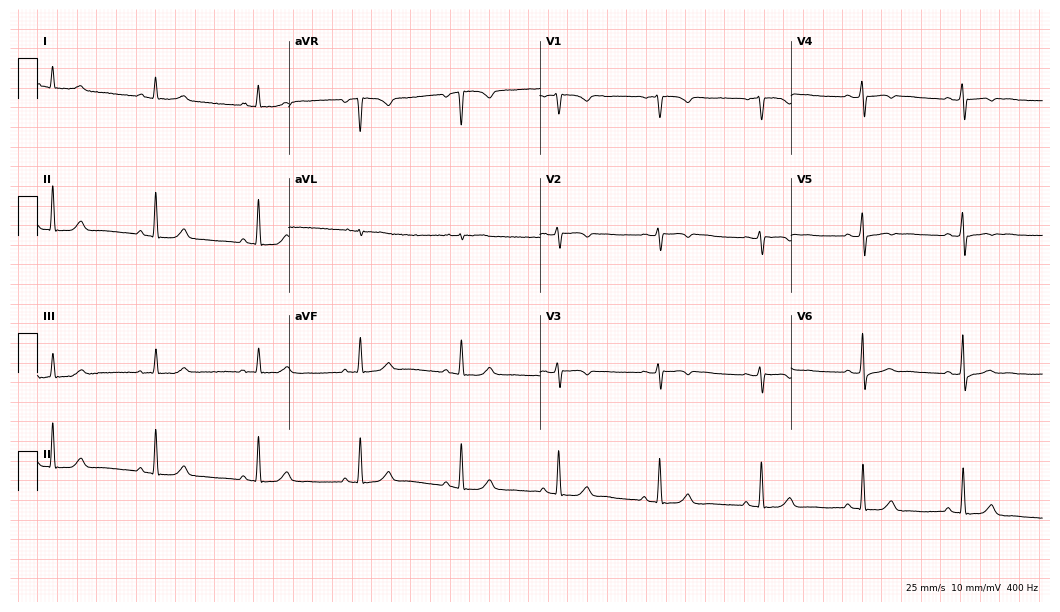
Electrocardiogram, a female patient, 57 years old. Of the six screened findings (first-degree AV block, right bundle branch block, left bundle branch block, sinus bradycardia, atrial fibrillation, sinus tachycardia), none is recorded.